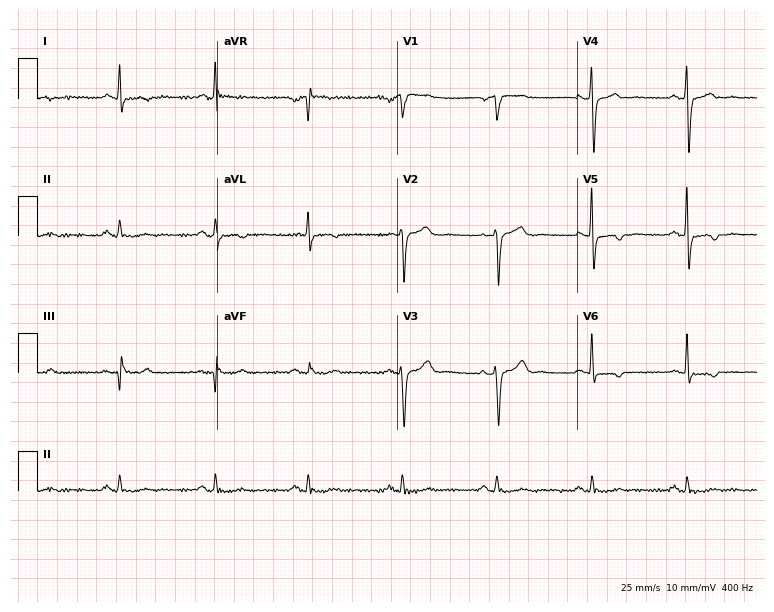
Resting 12-lead electrocardiogram. Patient: a 55-year-old male. None of these six findings is recorded: first-degree AV block, right bundle branch block, left bundle branch block, sinus bradycardia, atrial fibrillation, sinus tachycardia.